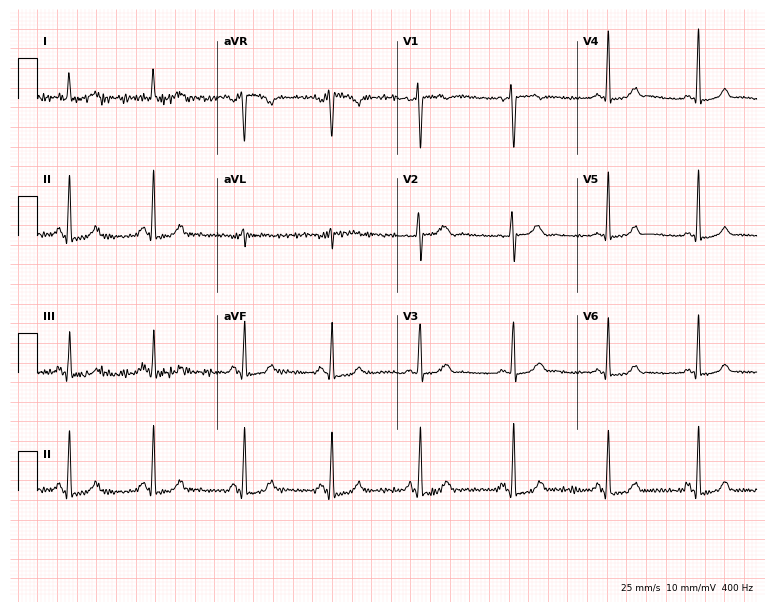
12-lead ECG from a 30-year-old female patient (7.3-second recording at 400 Hz). Recorded interpretation: within normal limits.